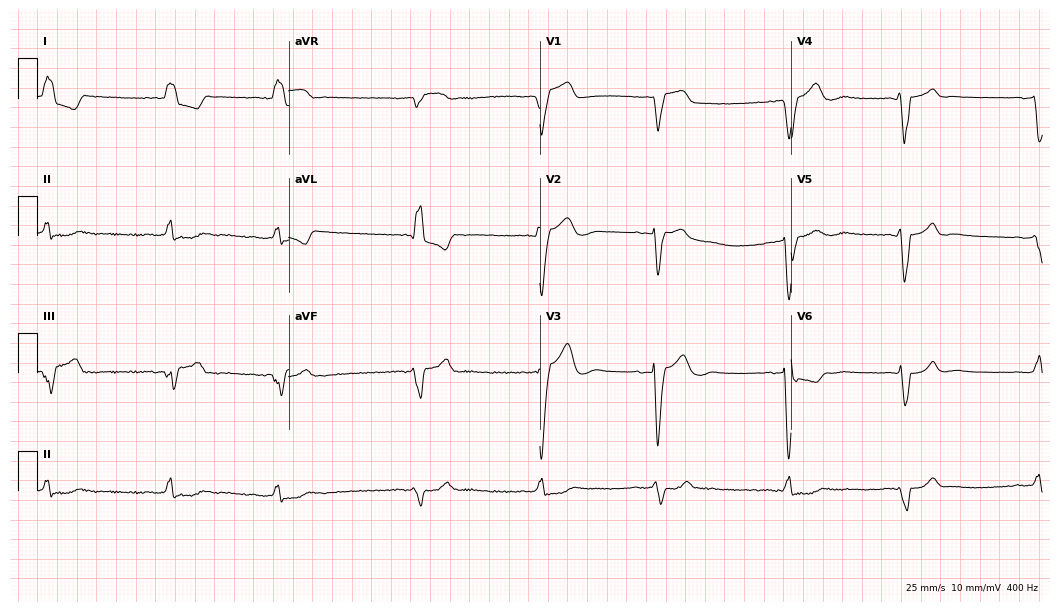
12-lead ECG from an 84-year-old female patient. Findings include left bundle branch block (LBBB), atrial fibrillation (AF).